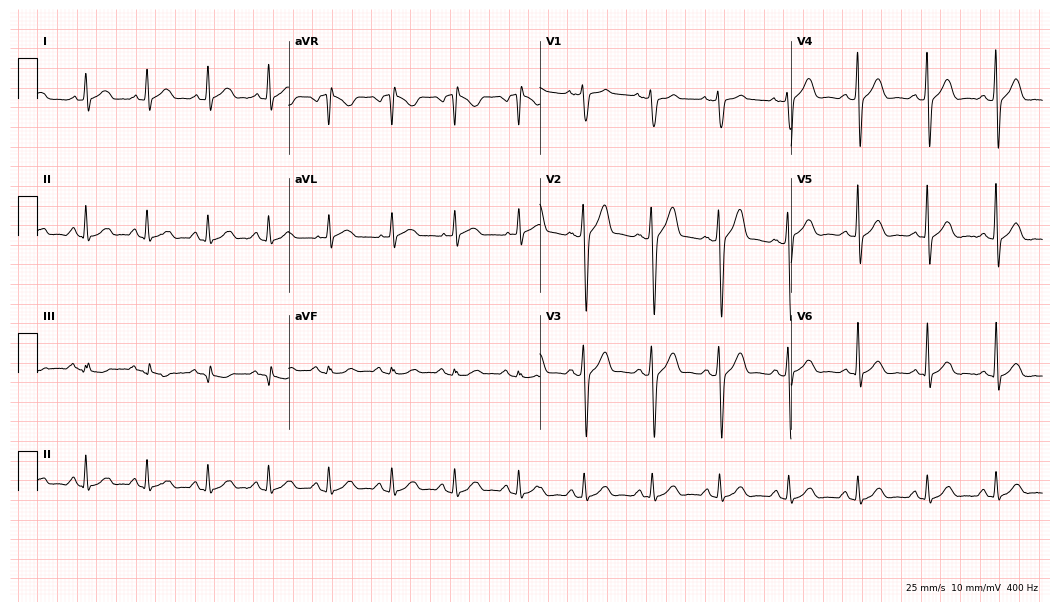
12-lead ECG (10.2-second recording at 400 Hz) from a 50-year-old male. Labelled as a normal ECG.